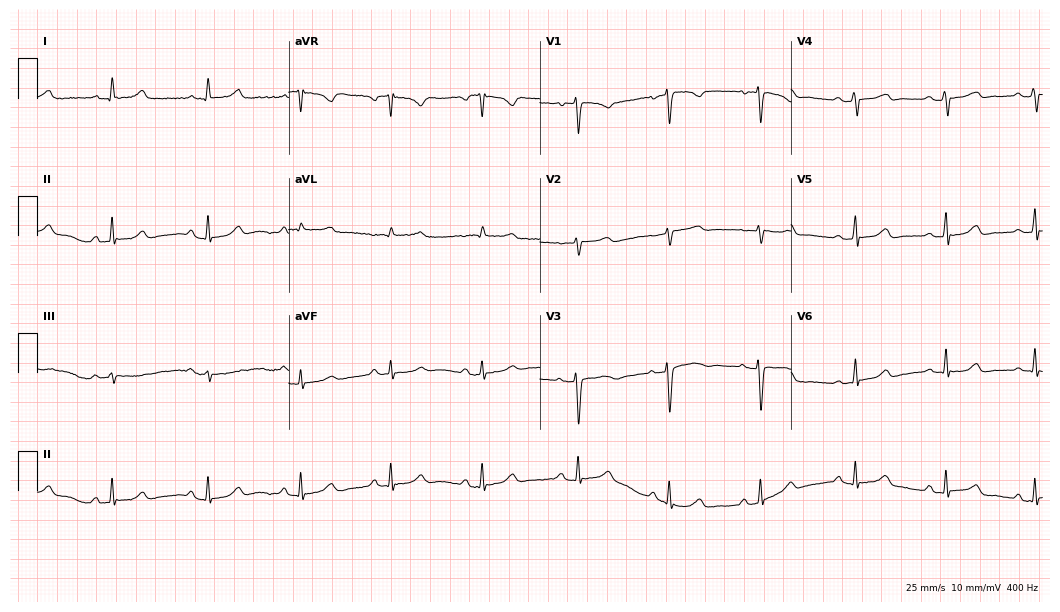
Electrocardiogram, a female, 42 years old. Overall reading on record: normal ECG.